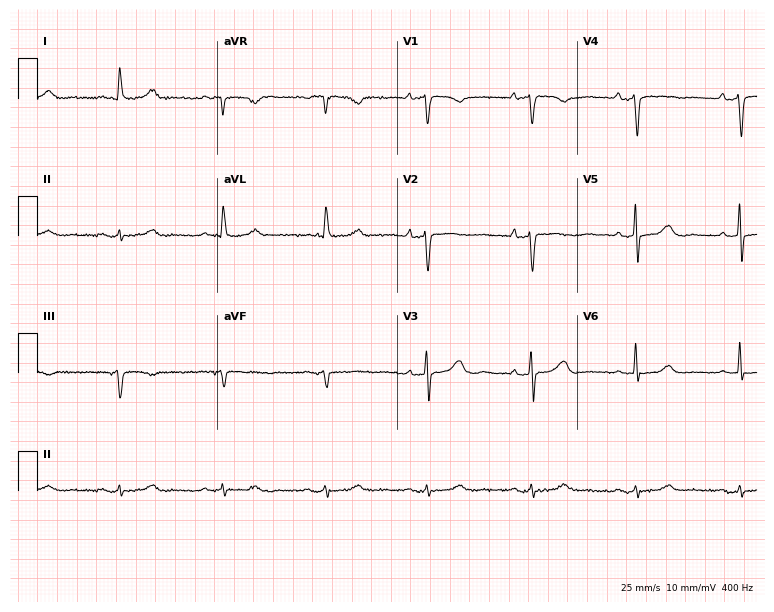
Electrocardiogram, a female, 83 years old. Of the six screened findings (first-degree AV block, right bundle branch block (RBBB), left bundle branch block (LBBB), sinus bradycardia, atrial fibrillation (AF), sinus tachycardia), none is recorded. Findings outside these six are not listed.